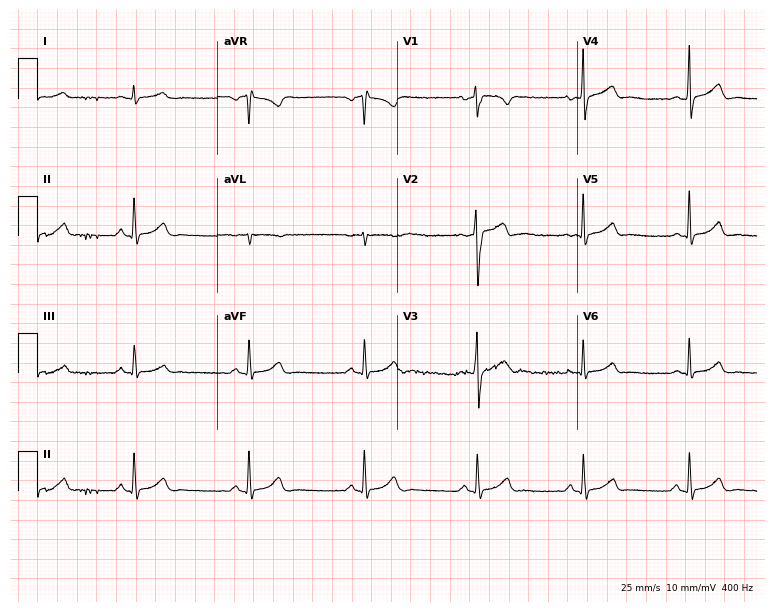
Resting 12-lead electrocardiogram (7.3-second recording at 400 Hz). Patient: a male, 27 years old. None of these six findings is recorded: first-degree AV block, right bundle branch block, left bundle branch block, sinus bradycardia, atrial fibrillation, sinus tachycardia. Other findings, if any, are not listed.